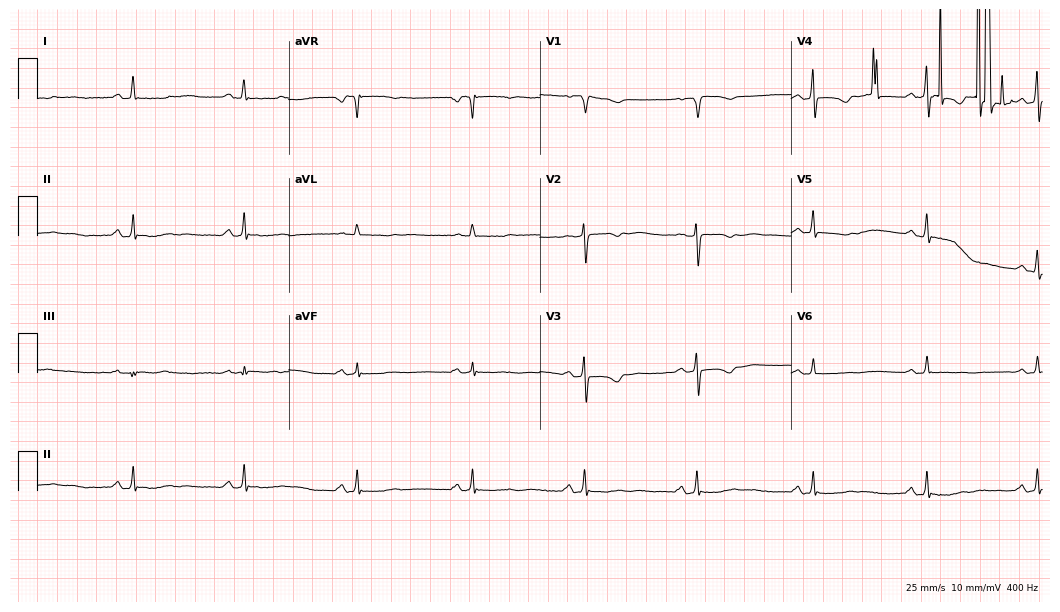
12-lead ECG (10.2-second recording at 400 Hz) from a woman, 68 years old. Screened for six findings — first-degree AV block, right bundle branch block, left bundle branch block, sinus bradycardia, atrial fibrillation, sinus tachycardia — none is recorded. Findings outside these six are not listed.